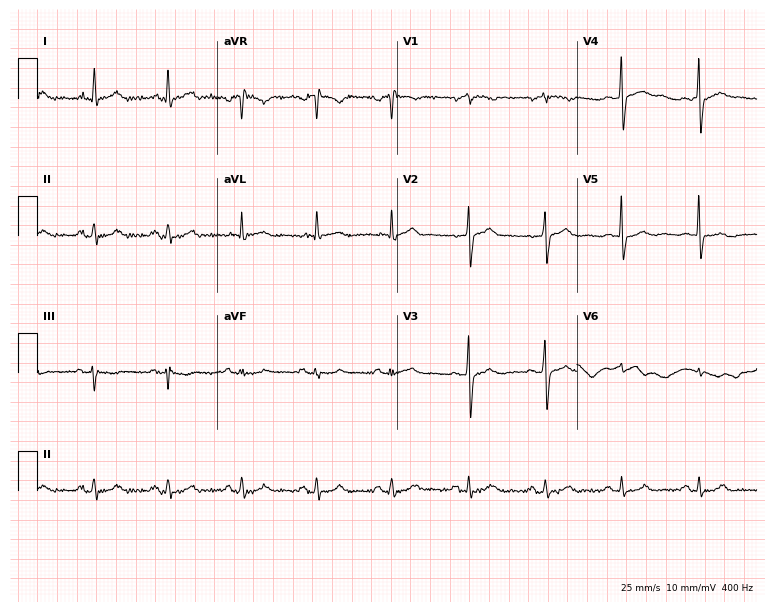
Resting 12-lead electrocardiogram. Patient: a man, 79 years old. Read as a normal ECG.